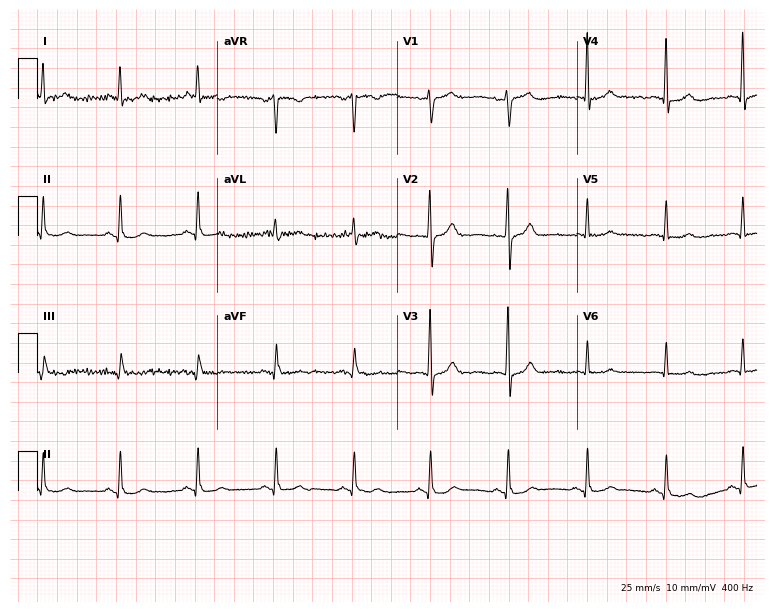
Resting 12-lead electrocardiogram (7.3-second recording at 400 Hz). Patient: a female, 55 years old. Read as a normal ECG.